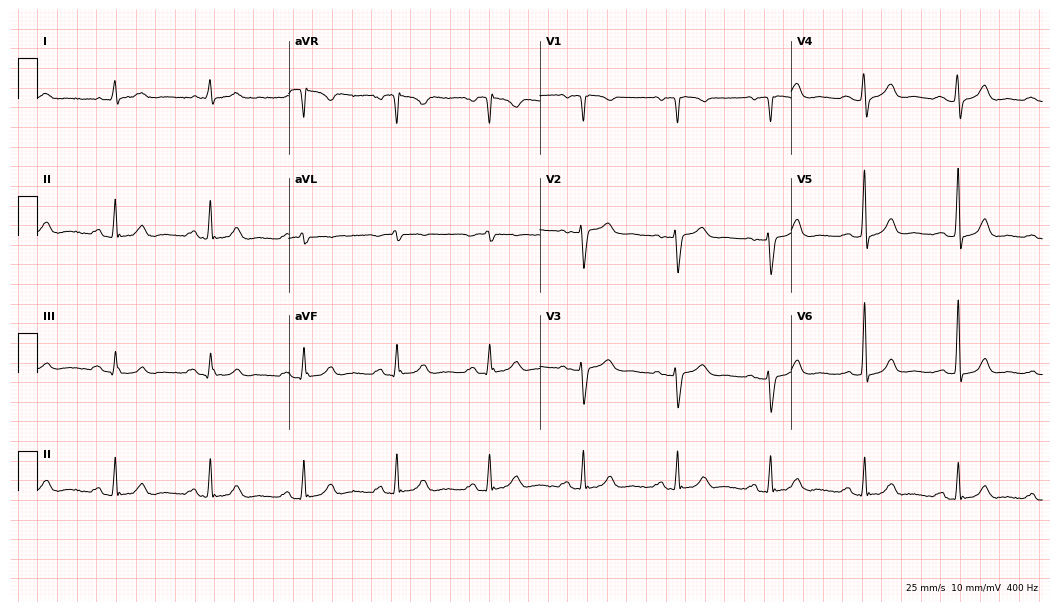
Resting 12-lead electrocardiogram (10.2-second recording at 400 Hz). Patient: a 69-year-old female. None of these six findings is recorded: first-degree AV block, right bundle branch block, left bundle branch block, sinus bradycardia, atrial fibrillation, sinus tachycardia. Other findings, if any, are not listed.